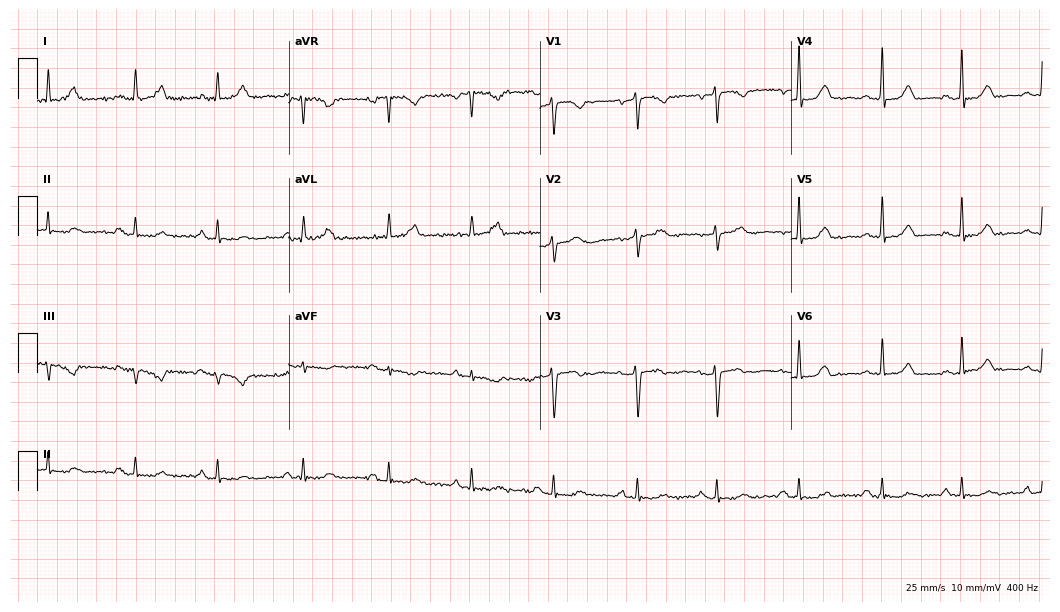
ECG (10.2-second recording at 400 Hz) — a 53-year-old female patient. Labelled as a normal ECG.